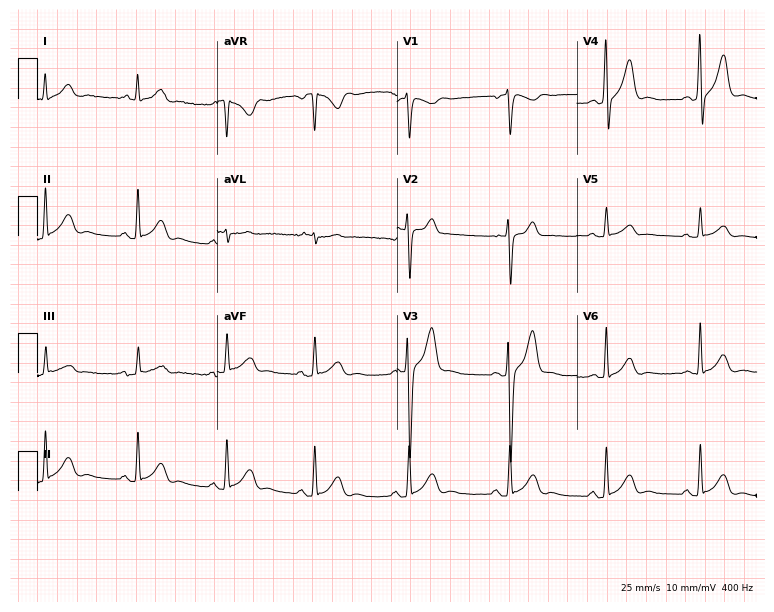
12-lead ECG from a 33-year-old male (7.3-second recording at 400 Hz). No first-degree AV block, right bundle branch block, left bundle branch block, sinus bradycardia, atrial fibrillation or sinus tachycardia recorded for this tracing.